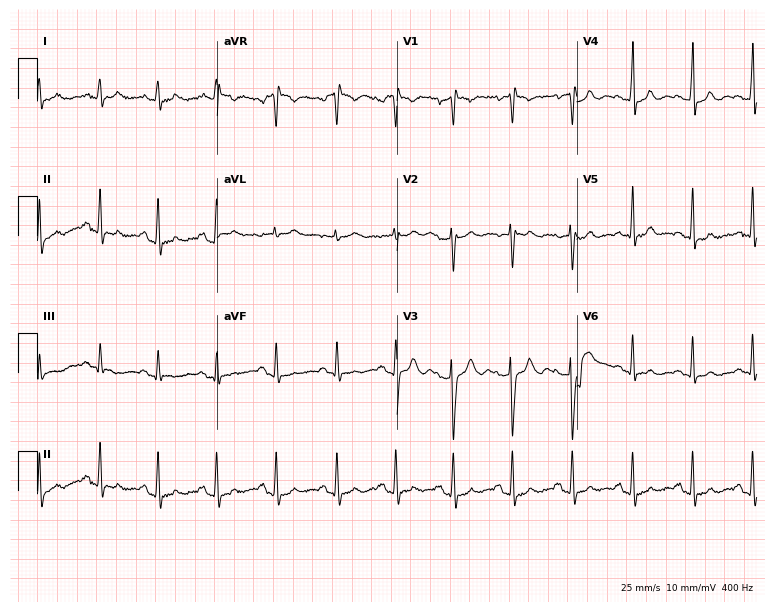
Electrocardiogram, a 17-year-old female. Of the six screened findings (first-degree AV block, right bundle branch block, left bundle branch block, sinus bradycardia, atrial fibrillation, sinus tachycardia), none is recorded.